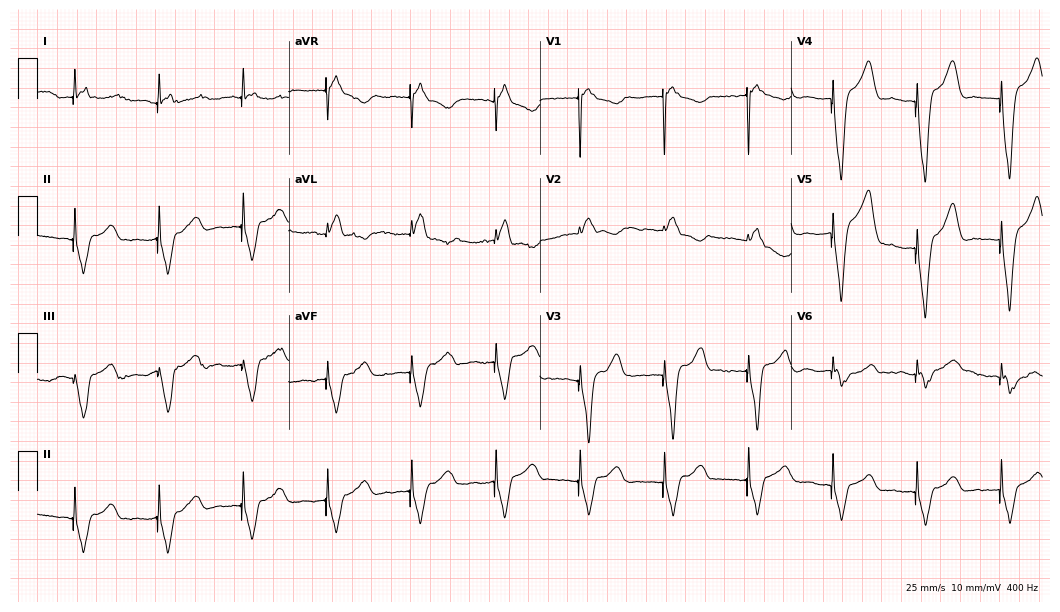
Electrocardiogram, a 77-year-old male. Of the six screened findings (first-degree AV block, right bundle branch block (RBBB), left bundle branch block (LBBB), sinus bradycardia, atrial fibrillation (AF), sinus tachycardia), none is recorded. Findings outside these six are not listed.